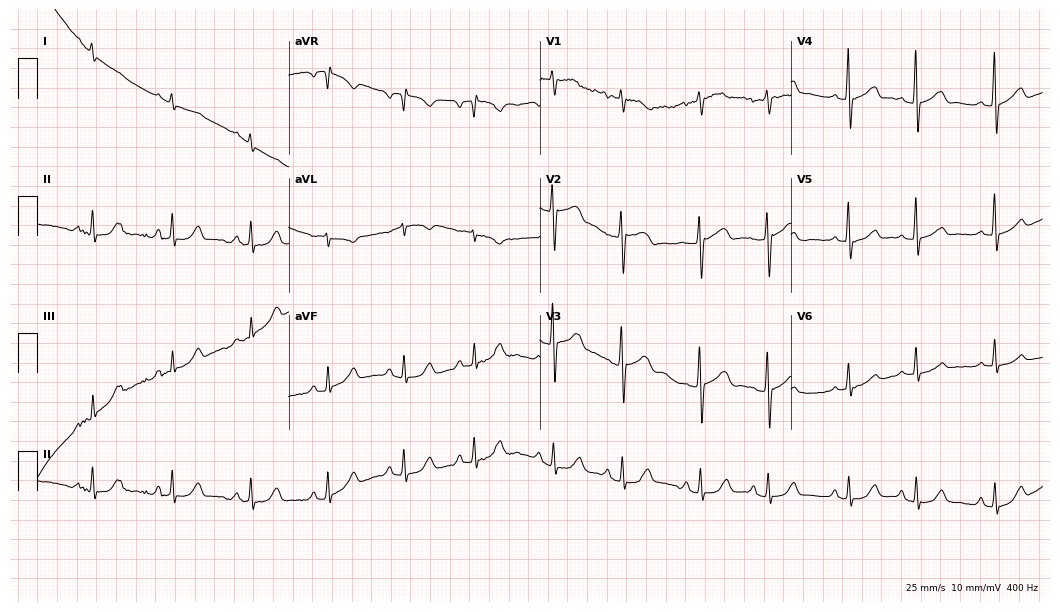
12-lead ECG from a 67-year-old male (10.2-second recording at 400 Hz). No first-degree AV block, right bundle branch block, left bundle branch block, sinus bradycardia, atrial fibrillation or sinus tachycardia recorded for this tracing. Only these six findings were labelled.